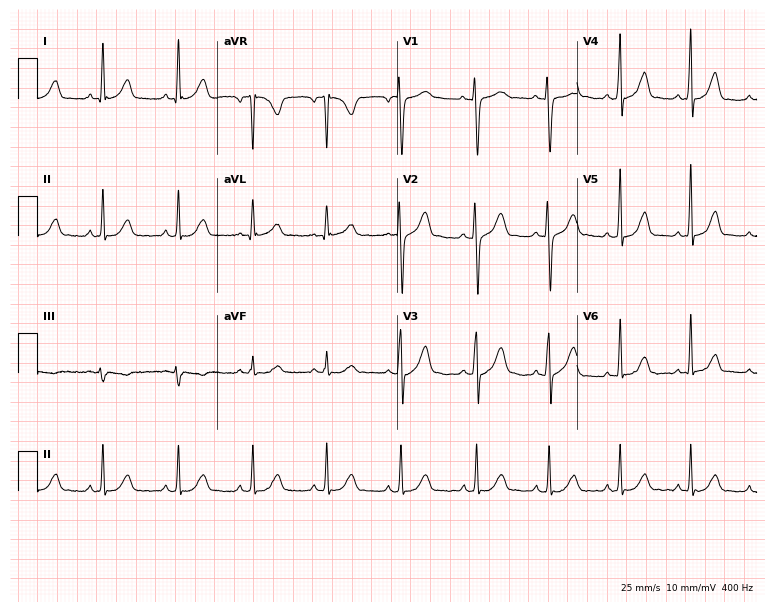
Resting 12-lead electrocardiogram. Patient: a 26-year-old male. Read as a normal ECG.